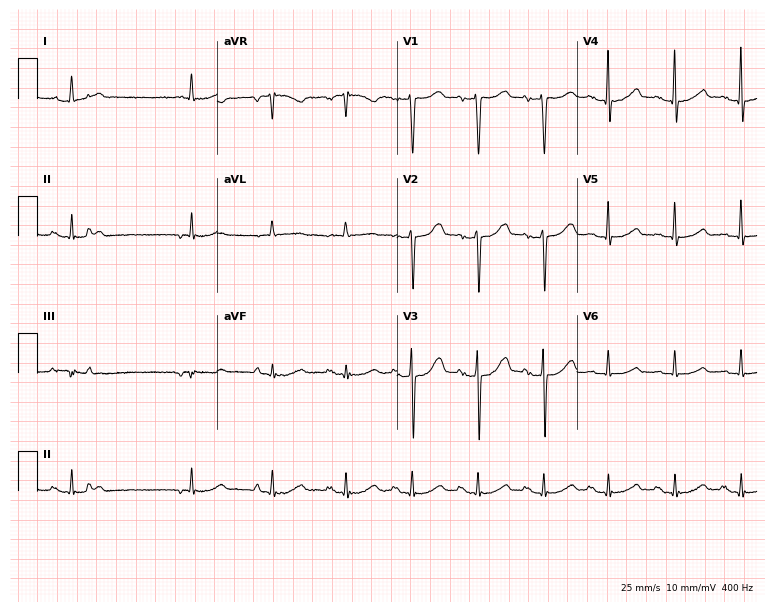
12-lead ECG (7.3-second recording at 400 Hz) from a female patient, 79 years old. Labelled as a normal ECG.